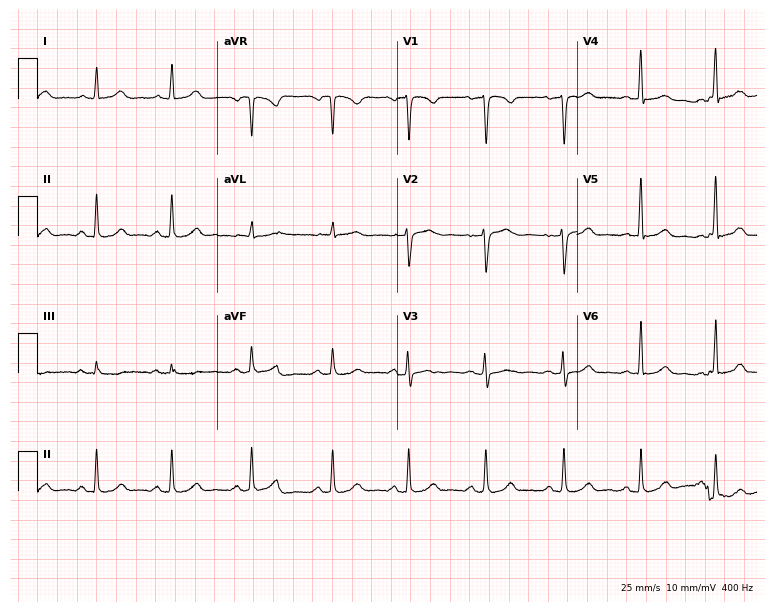
Standard 12-lead ECG recorded from a 43-year-old female patient (7.3-second recording at 400 Hz). Read as a normal ECG.